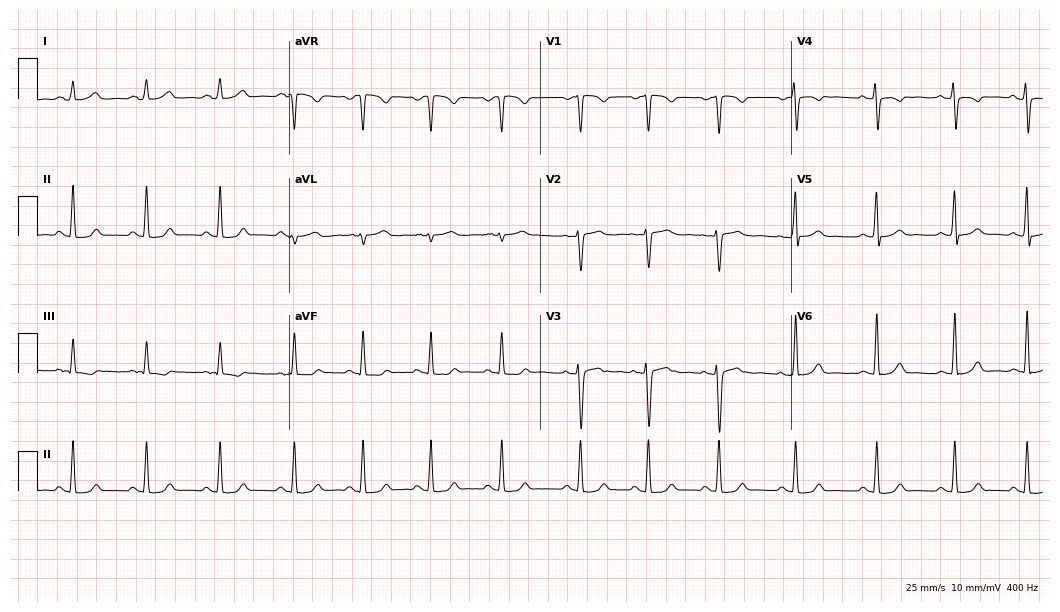
12-lead ECG from a female patient, 17 years old. Labelled as a normal ECG.